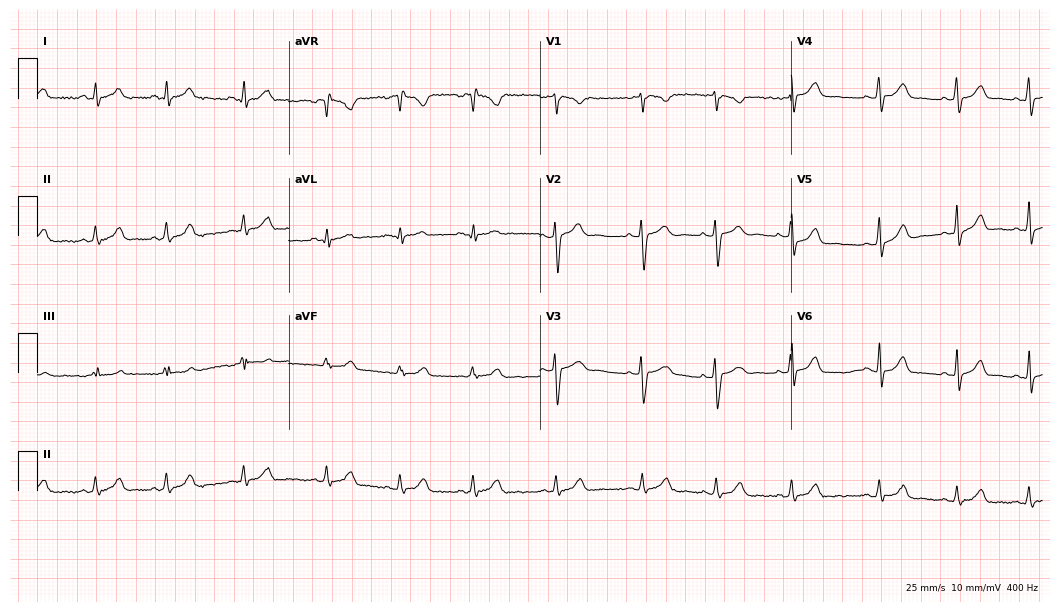
Electrocardiogram (10.2-second recording at 400 Hz), a 34-year-old female patient. Overall reading on record: normal ECG.